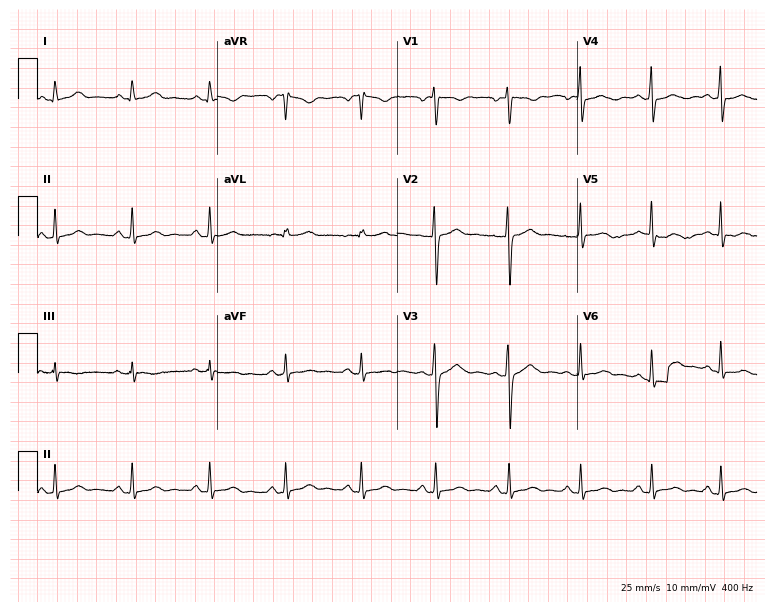
Resting 12-lead electrocardiogram (7.3-second recording at 400 Hz). Patient: a woman, 46 years old. Read as a normal ECG.